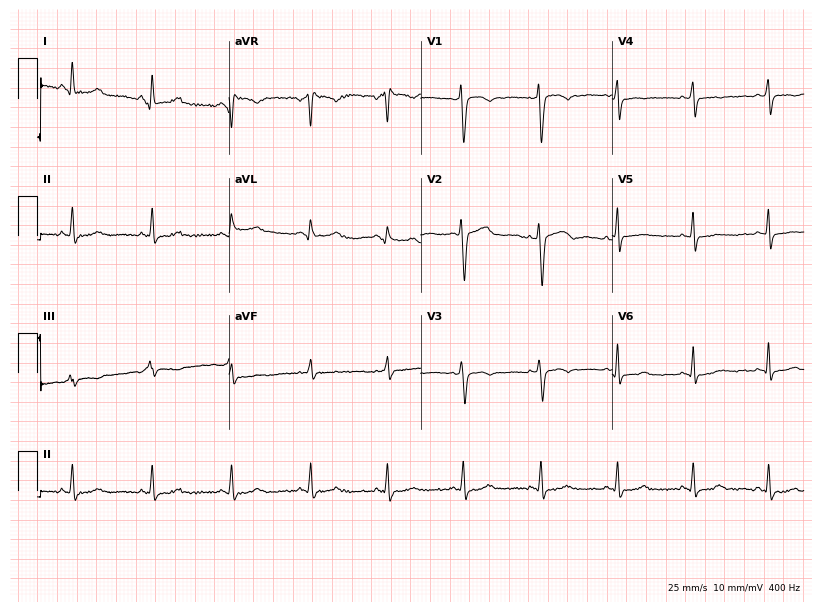
Electrocardiogram (7.8-second recording at 400 Hz), a female patient, 43 years old. Of the six screened findings (first-degree AV block, right bundle branch block (RBBB), left bundle branch block (LBBB), sinus bradycardia, atrial fibrillation (AF), sinus tachycardia), none is recorded.